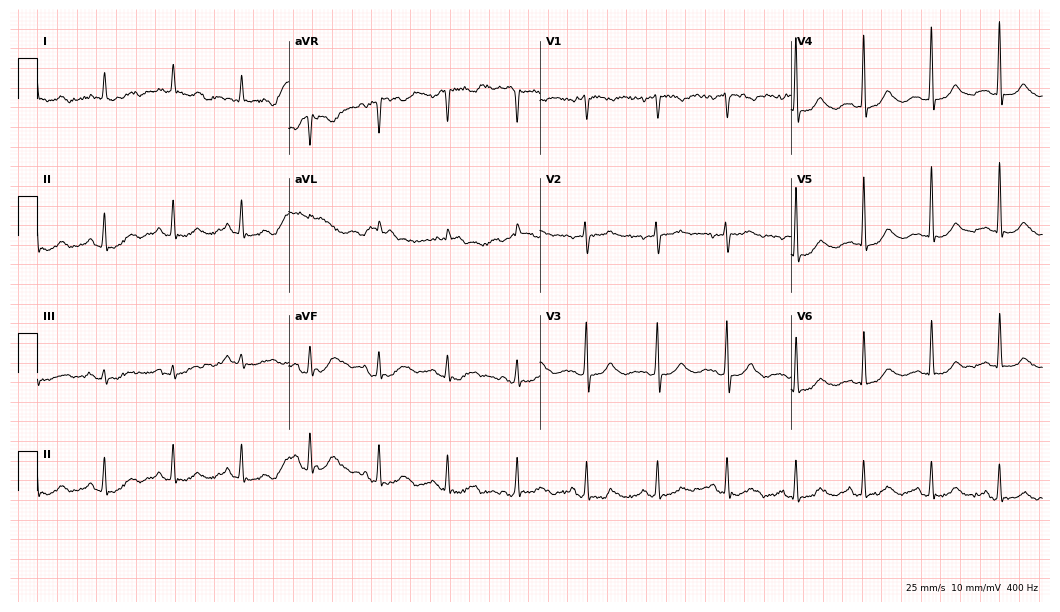
ECG — a woman, 78 years old. Screened for six findings — first-degree AV block, right bundle branch block (RBBB), left bundle branch block (LBBB), sinus bradycardia, atrial fibrillation (AF), sinus tachycardia — none is recorded.